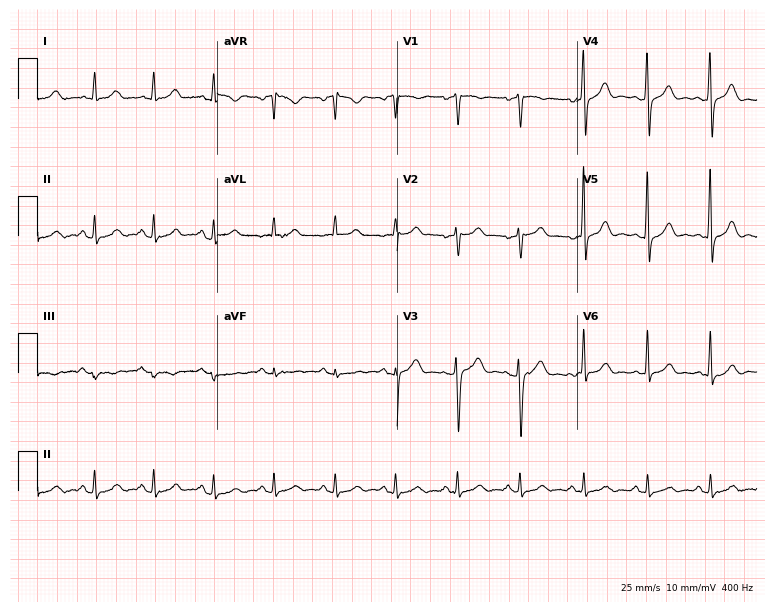
12-lead ECG (7.3-second recording at 400 Hz) from a 50-year-old woman. Screened for six findings — first-degree AV block, right bundle branch block, left bundle branch block, sinus bradycardia, atrial fibrillation, sinus tachycardia — none is recorded.